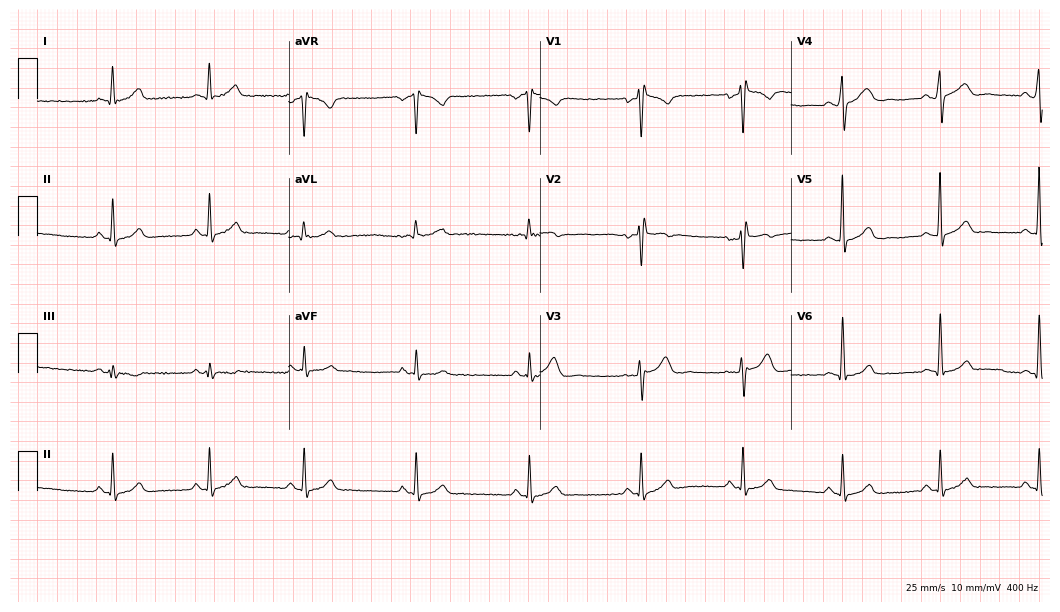
ECG (10.2-second recording at 400 Hz) — a 31-year-old man. Screened for six findings — first-degree AV block, right bundle branch block (RBBB), left bundle branch block (LBBB), sinus bradycardia, atrial fibrillation (AF), sinus tachycardia — none is recorded.